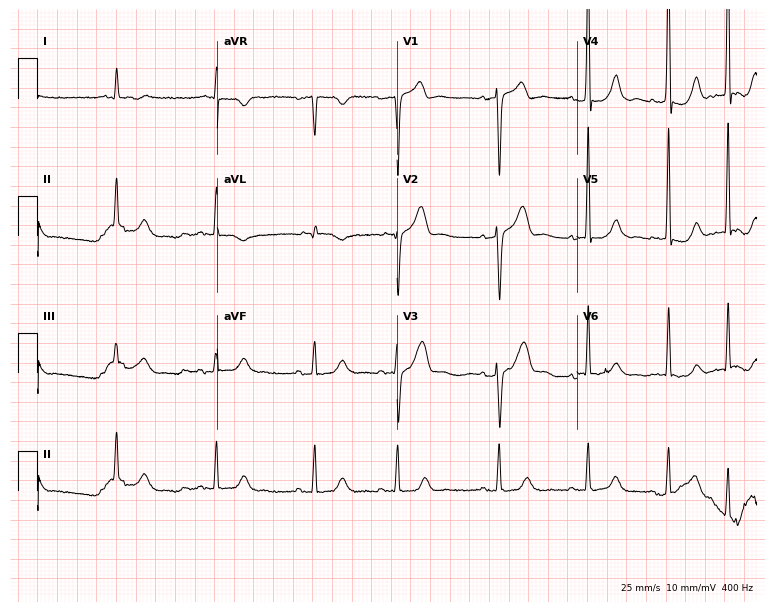
Standard 12-lead ECG recorded from a male patient, 83 years old (7.3-second recording at 400 Hz). None of these six findings is recorded: first-degree AV block, right bundle branch block, left bundle branch block, sinus bradycardia, atrial fibrillation, sinus tachycardia. Other findings, if any, are not listed.